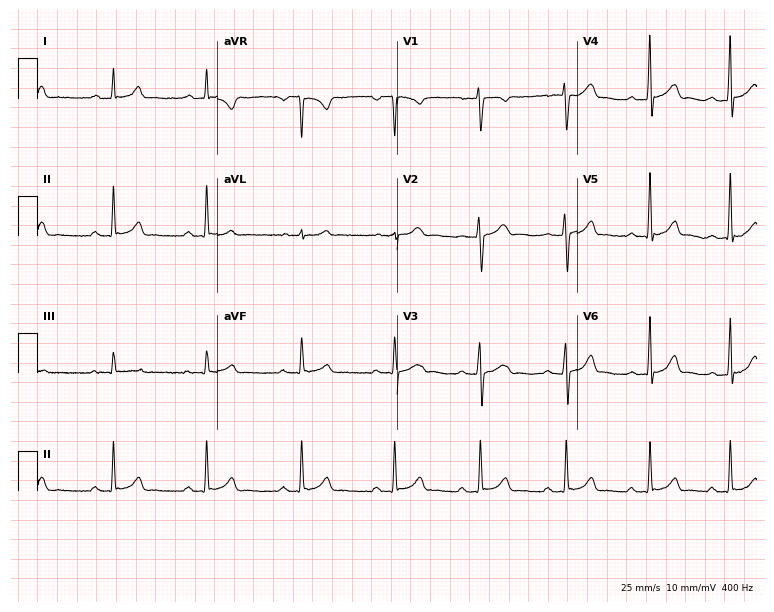
12-lead ECG from a 22-year-old male patient (7.3-second recording at 400 Hz). Recorded interpretation: within normal limits.